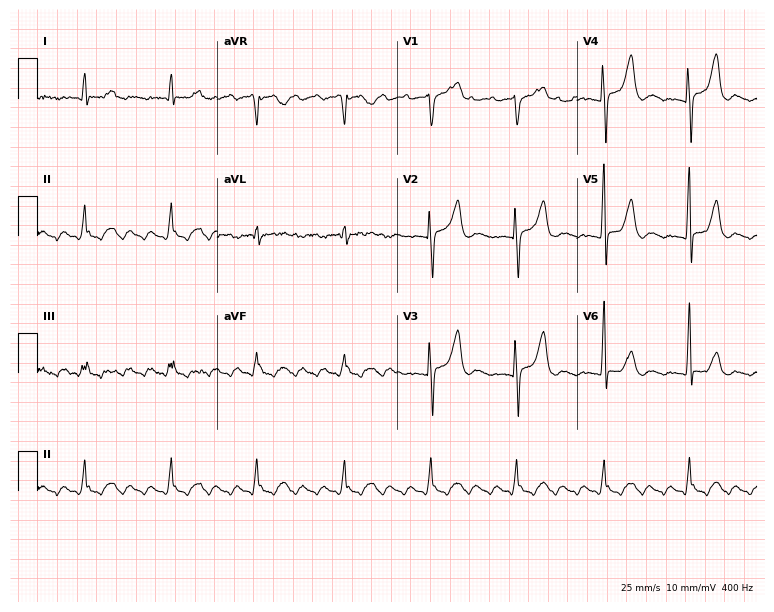
ECG (7.3-second recording at 400 Hz) — a man, 85 years old. Screened for six findings — first-degree AV block, right bundle branch block, left bundle branch block, sinus bradycardia, atrial fibrillation, sinus tachycardia — none is recorded. Other findings, if any, are not listed.